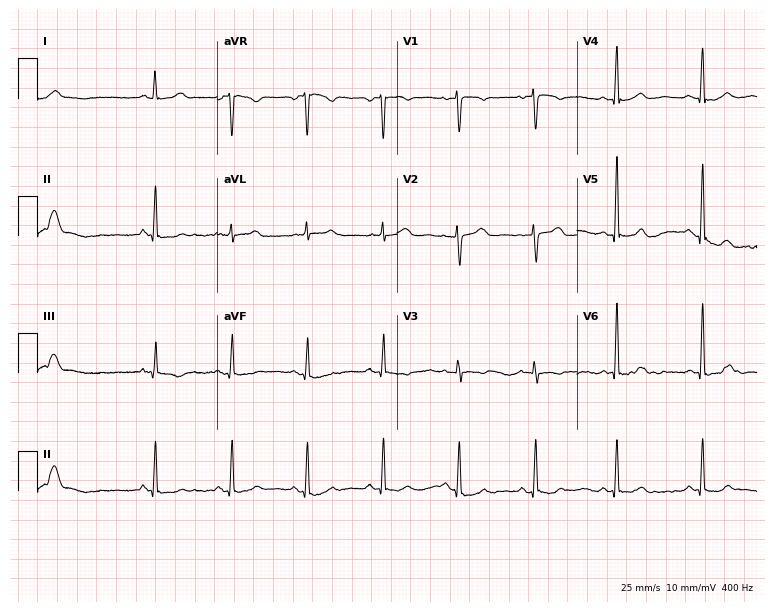
Resting 12-lead electrocardiogram (7.3-second recording at 400 Hz). Patient: a 47-year-old female. Read as a normal ECG.